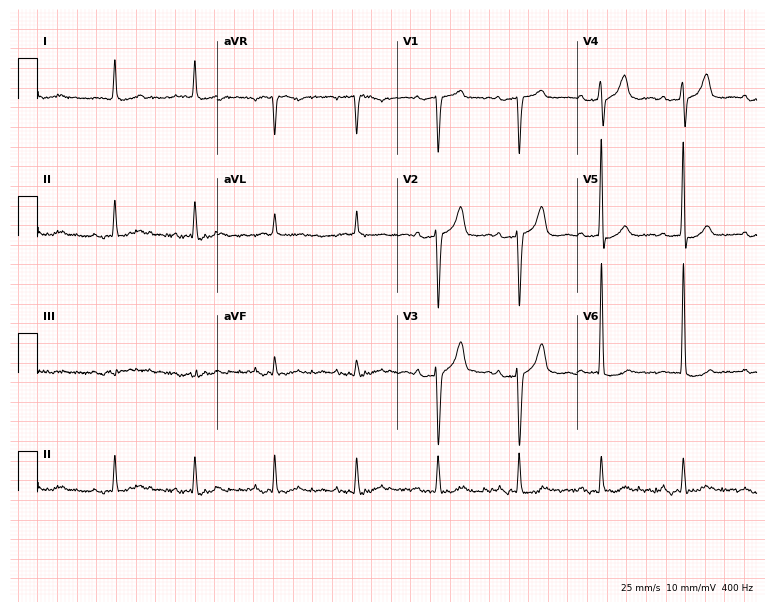
12-lead ECG from an 85-year-old man. No first-degree AV block, right bundle branch block, left bundle branch block, sinus bradycardia, atrial fibrillation or sinus tachycardia recorded for this tracing.